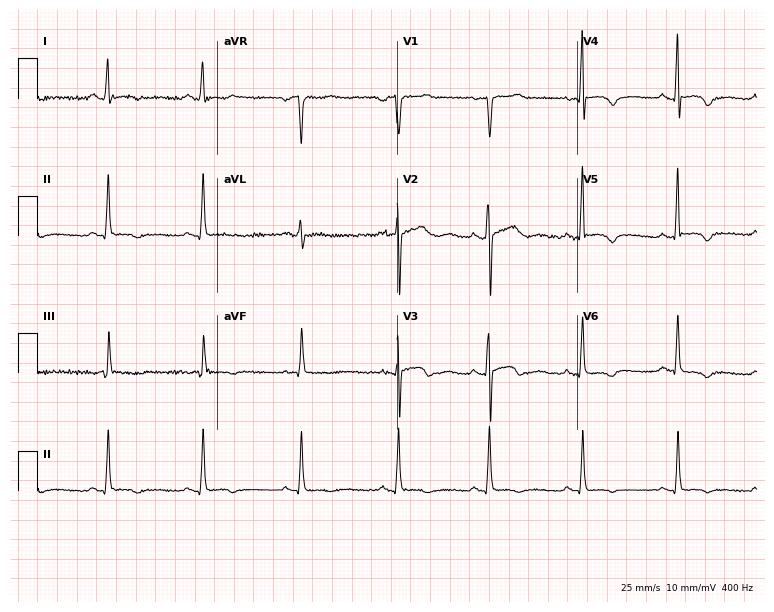
Electrocardiogram (7.3-second recording at 400 Hz), a 51-year-old female patient. Of the six screened findings (first-degree AV block, right bundle branch block (RBBB), left bundle branch block (LBBB), sinus bradycardia, atrial fibrillation (AF), sinus tachycardia), none is recorded. Findings outside these six are not listed.